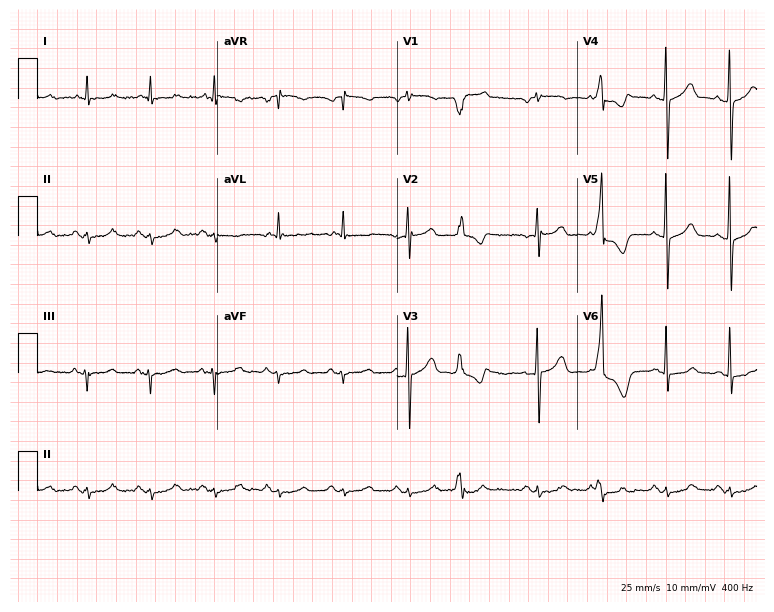
12-lead ECG from a man, 76 years old. Screened for six findings — first-degree AV block, right bundle branch block (RBBB), left bundle branch block (LBBB), sinus bradycardia, atrial fibrillation (AF), sinus tachycardia — none is recorded. Other findings, if any, are not listed.